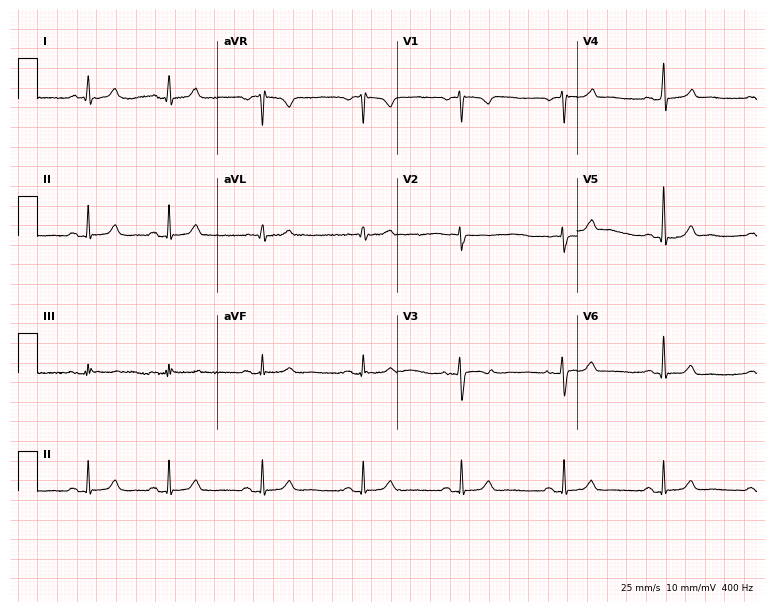
Resting 12-lead electrocardiogram (7.3-second recording at 400 Hz). Patient: a 45-year-old female. None of these six findings is recorded: first-degree AV block, right bundle branch block, left bundle branch block, sinus bradycardia, atrial fibrillation, sinus tachycardia. Other findings, if any, are not listed.